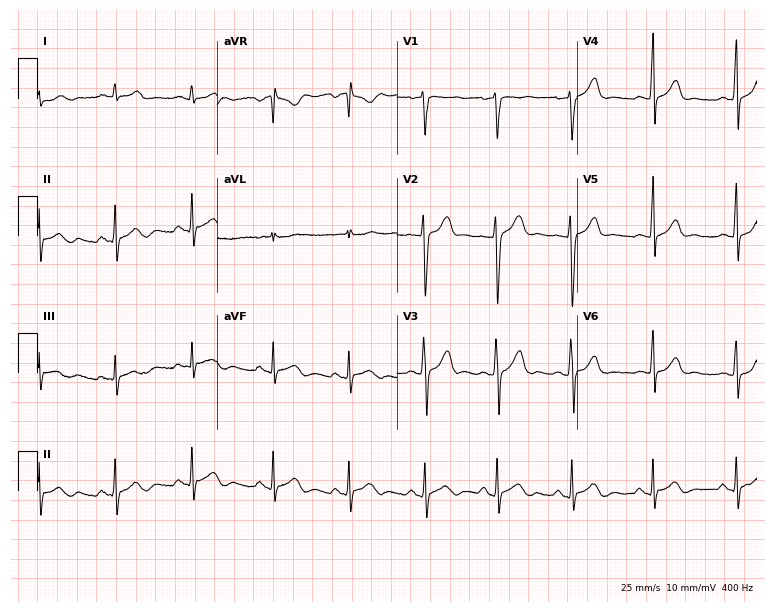
Standard 12-lead ECG recorded from a man, 28 years old (7.3-second recording at 400 Hz). None of these six findings is recorded: first-degree AV block, right bundle branch block, left bundle branch block, sinus bradycardia, atrial fibrillation, sinus tachycardia.